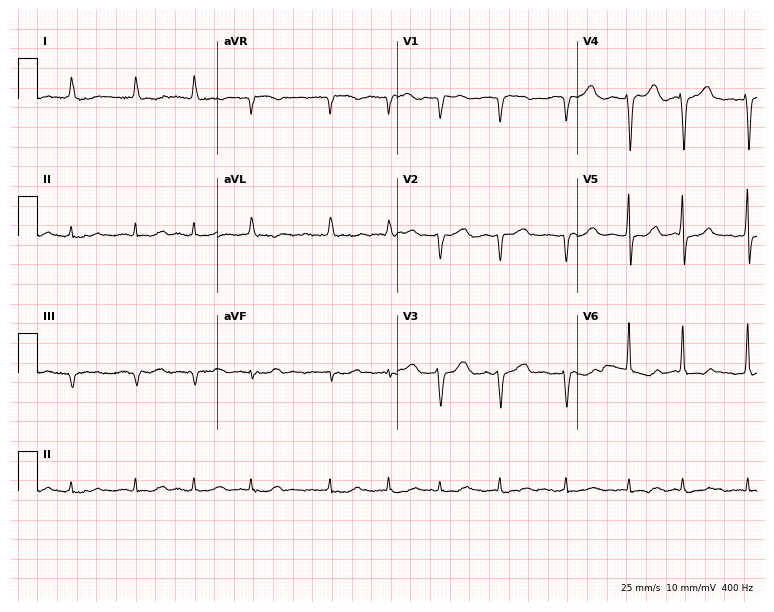
12-lead ECG from a 79-year-old female. Screened for six findings — first-degree AV block, right bundle branch block, left bundle branch block, sinus bradycardia, atrial fibrillation, sinus tachycardia — none is recorded. Only these six findings were labelled.